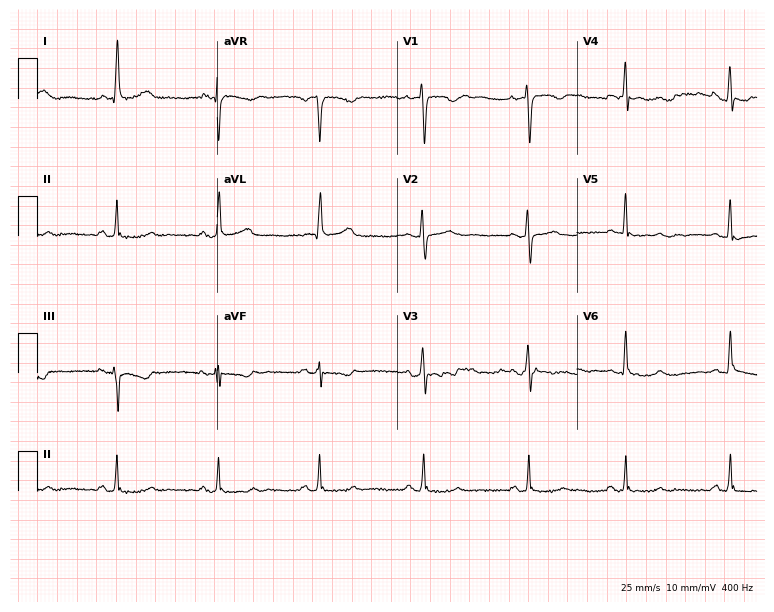
ECG — a woman, 61 years old. Labelled as a normal ECG.